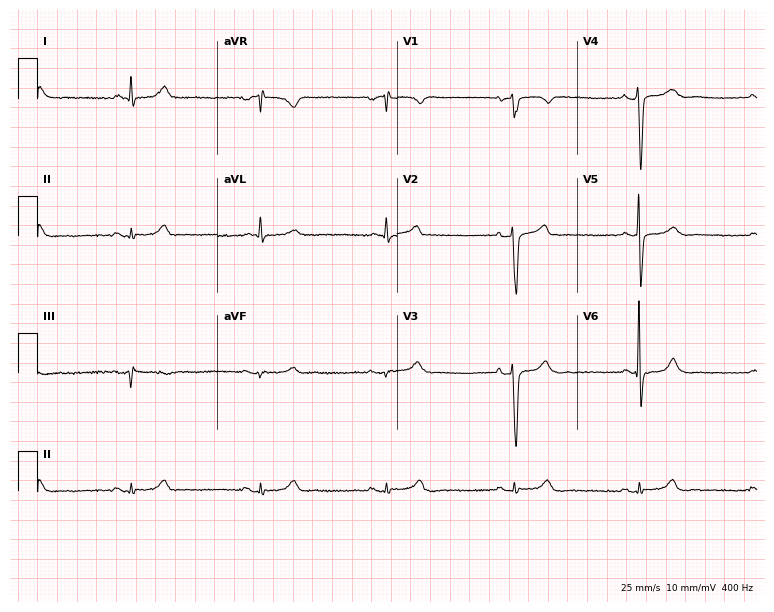
Standard 12-lead ECG recorded from a 74-year-old male. The tracing shows sinus bradycardia (a sinus rate of 50 beats per minute or less).